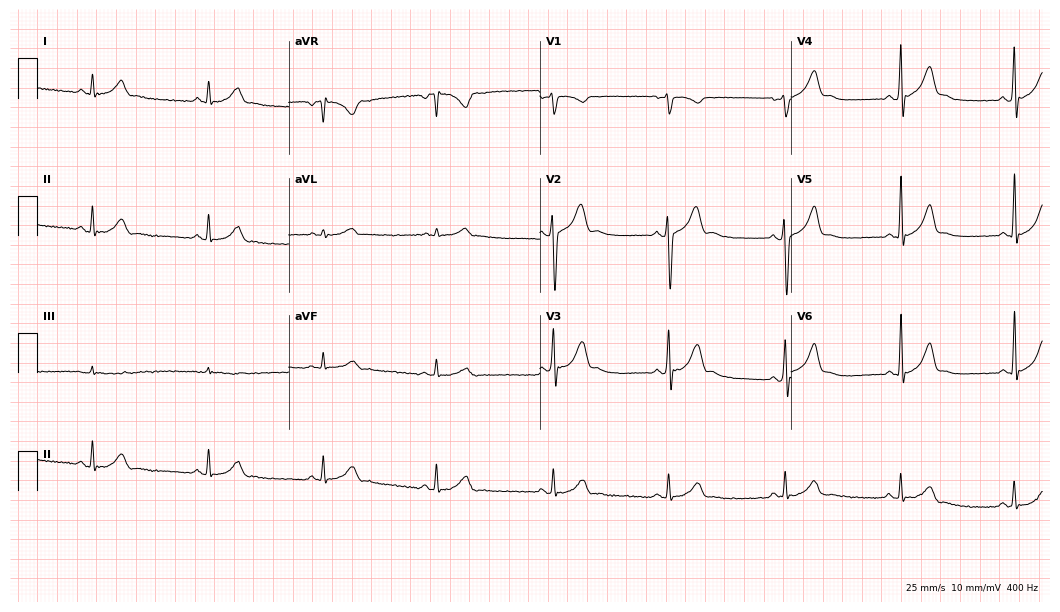
ECG (10.2-second recording at 400 Hz) — a man, 31 years old. Screened for six findings — first-degree AV block, right bundle branch block, left bundle branch block, sinus bradycardia, atrial fibrillation, sinus tachycardia — none is recorded.